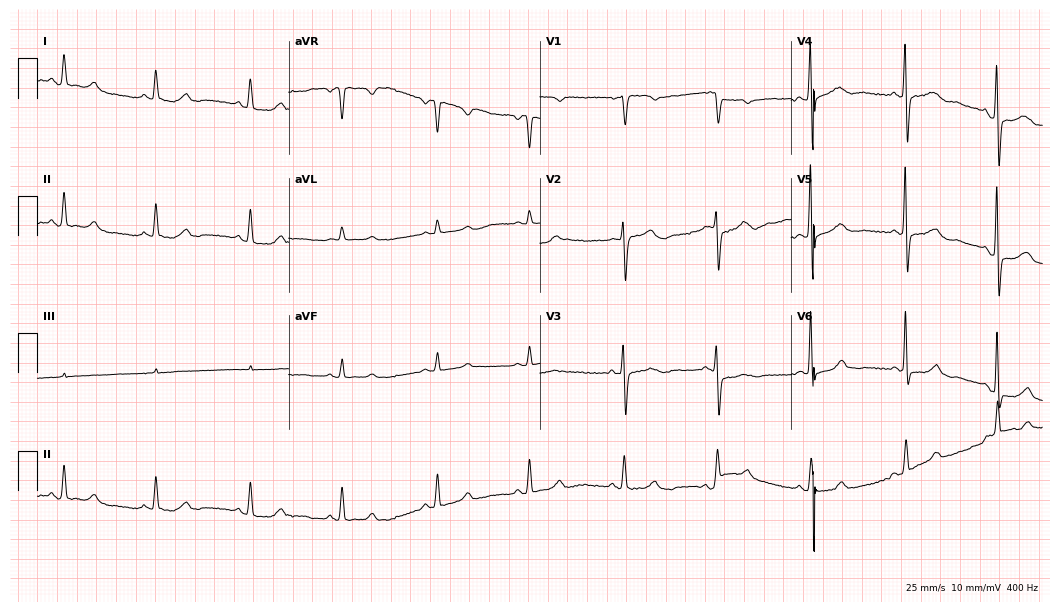
12-lead ECG (10.2-second recording at 400 Hz) from a 45-year-old female patient. Screened for six findings — first-degree AV block, right bundle branch block, left bundle branch block, sinus bradycardia, atrial fibrillation, sinus tachycardia — none is recorded. Other findings, if any, are not listed.